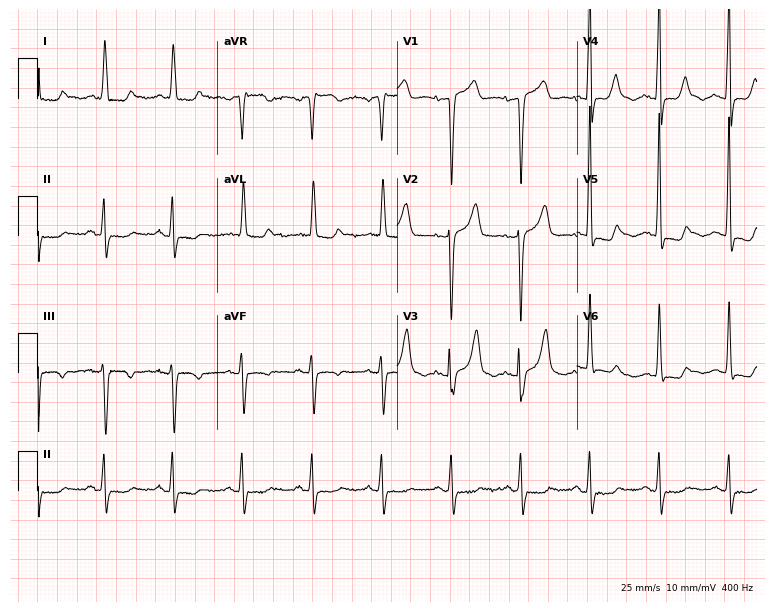
Electrocardiogram (7.3-second recording at 400 Hz), a female patient, 80 years old. Of the six screened findings (first-degree AV block, right bundle branch block (RBBB), left bundle branch block (LBBB), sinus bradycardia, atrial fibrillation (AF), sinus tachycardia), none is recorded. Only these six findings were labelled.